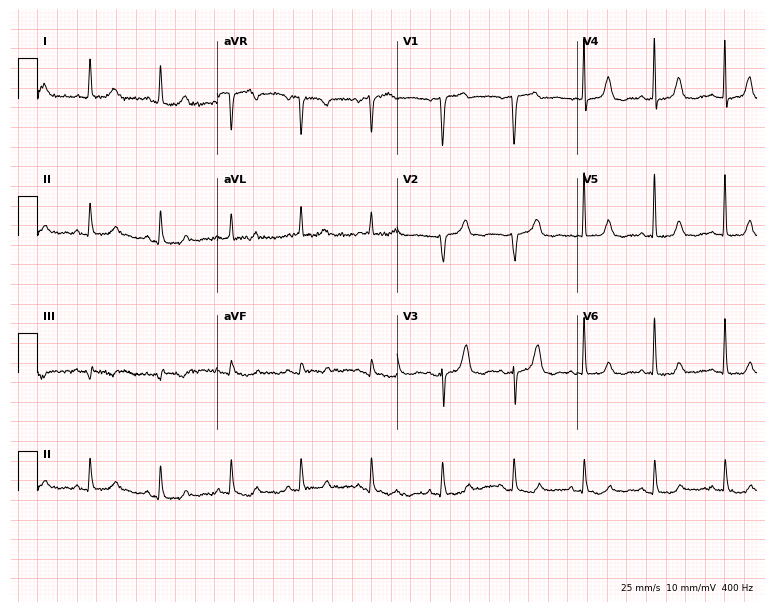
12-lead ECG from a 66-year-old male patient. No first-degree AV block, right bundle branch block, left bundle branch block, sinus bradycardia, atrial fibrillation or sinus tachycardia recorded for this tracing. Only these six findings were labelled.